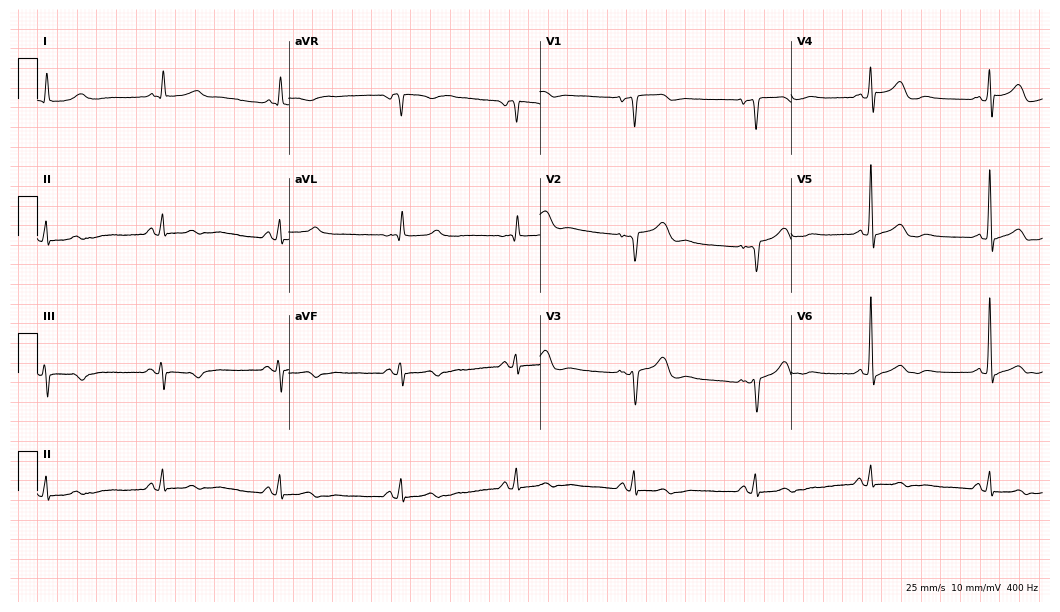
12-lead ECG from a woman, 74 years old. Screened for six findings — first-degree AV block, right bundle branch block, left bundle branch block, sinus bradycardia, atrial fibrillation, sinus tachycardia — none is recorded. Other findings, if any, are not listed.